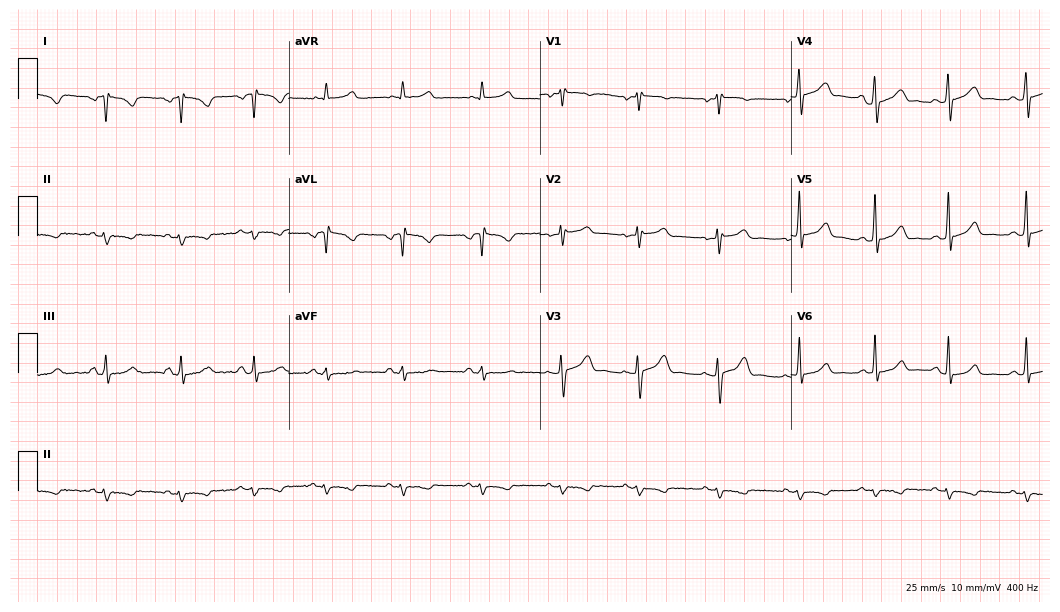
12-lead ECG from a 27-year-old female patient. Screened for six findings — first-degree AV block, right bundle branch block, left bundle branch block, sinus bradycardia, atrial fibrillation, sinus tachycardia — none is recorded. Only these six findings were labelled.